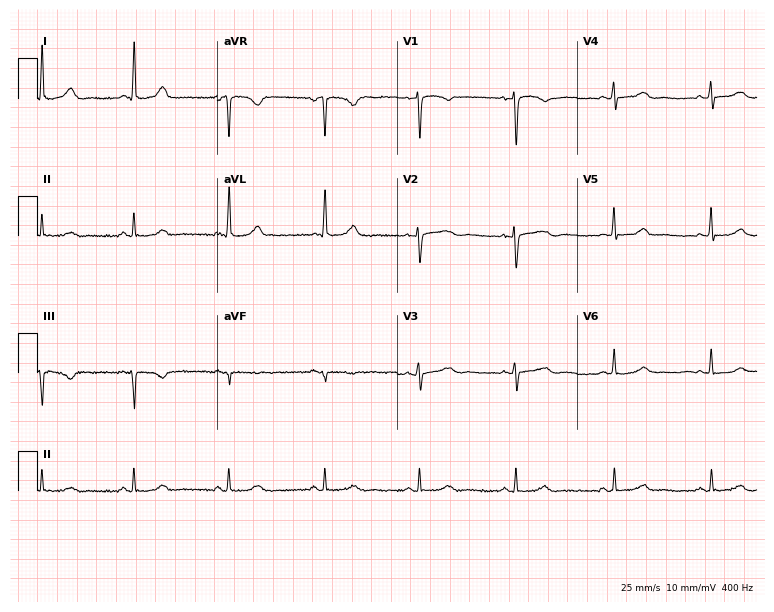
Electrocardiogram, a female, 44 years old. Of the six screened findings (first-degree AV block, right bundle branch block, left bundle branch block, sinus bradycardia, atrial fibrillation, sinus tachycardia), none is recorded.